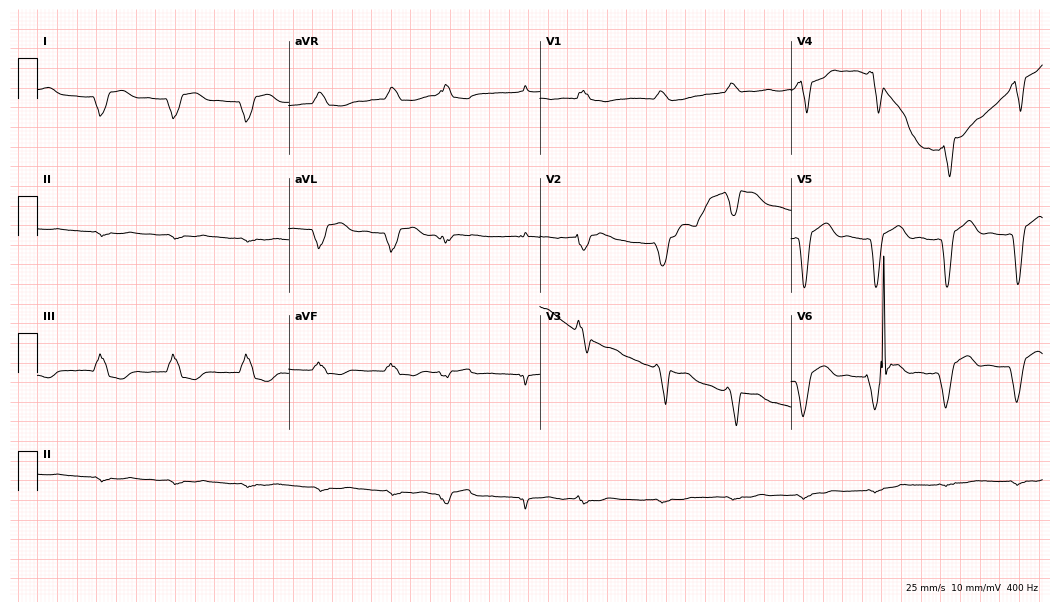
Electrocardiogram, a male patient, 72 years old. Of the six screened findings (first-degree AV block, right bundle branch block, left bundle branch block, sinus bradycardia, atrial fibrillation, sinus tachycardia), none is recorded.